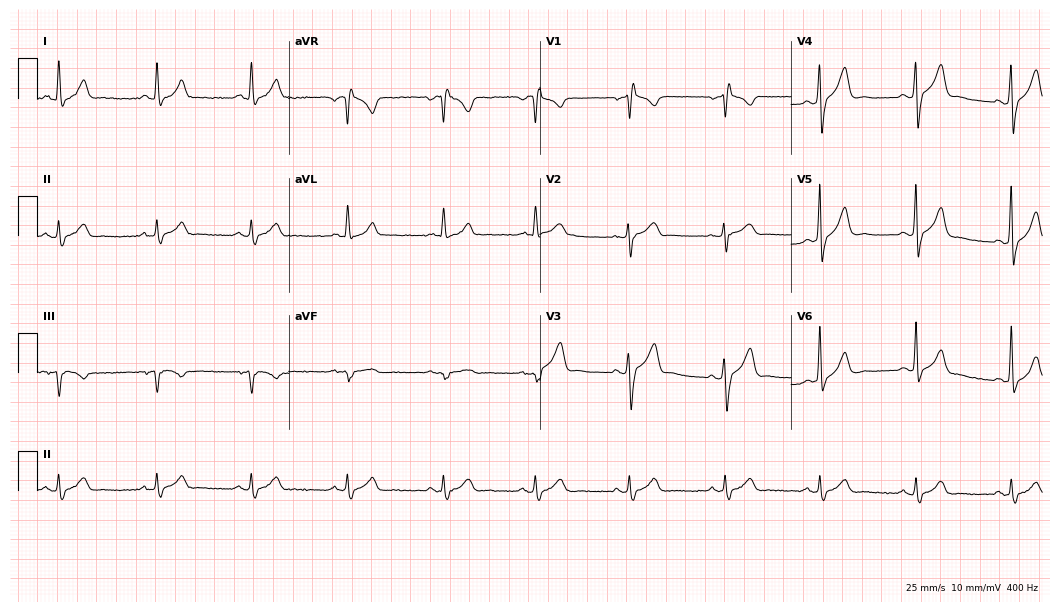
Standard 12-lead ECG recorded from a male, 54 years old (10.2-second recording at 400 Hz). Read as a normal ECG.